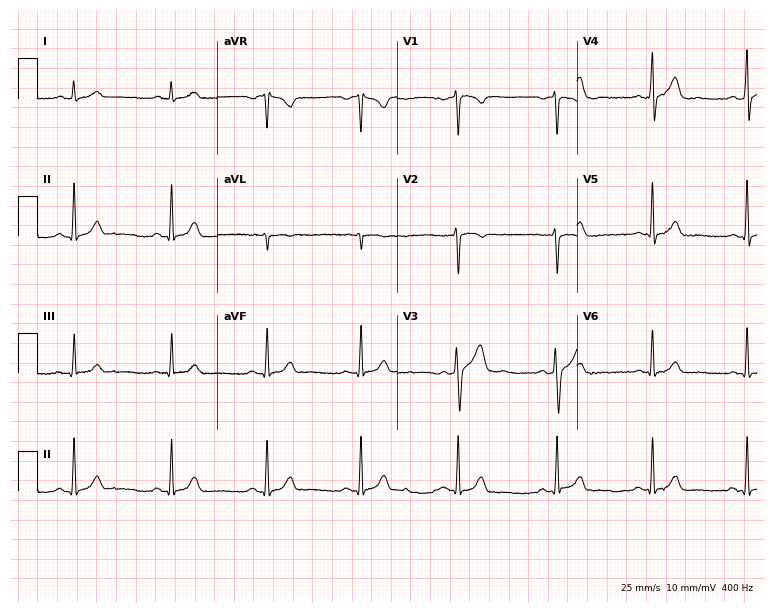
12-lead ECG from a male patient, 49 years old (7.3-second recording at 400 Hz). Recorded interpretation: within normal limits.